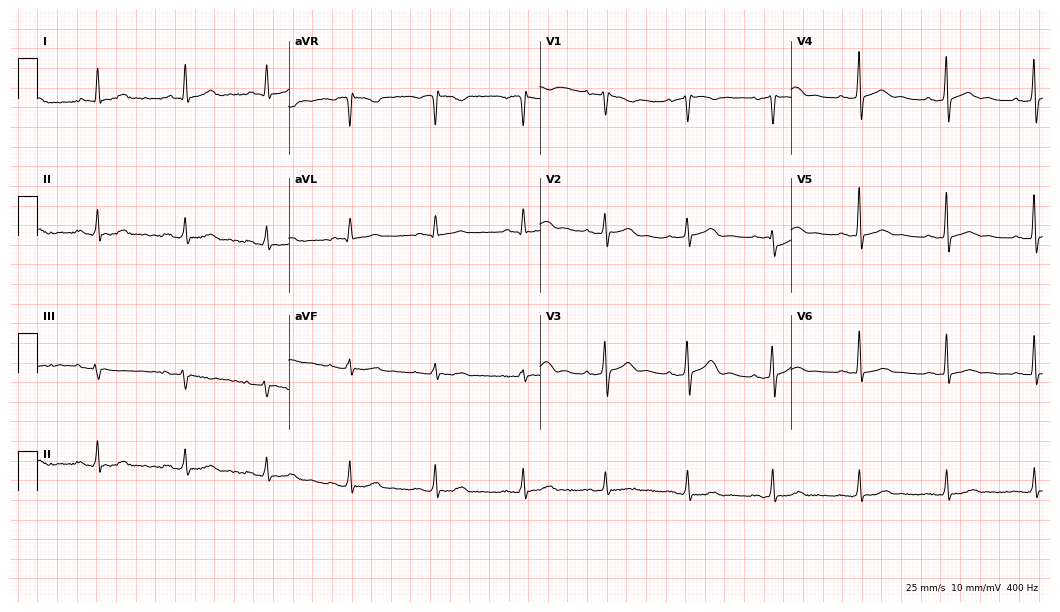
Resting 12-lead electrocardiogram. Patient: a 43-year-old female. Read as a normal ECG.